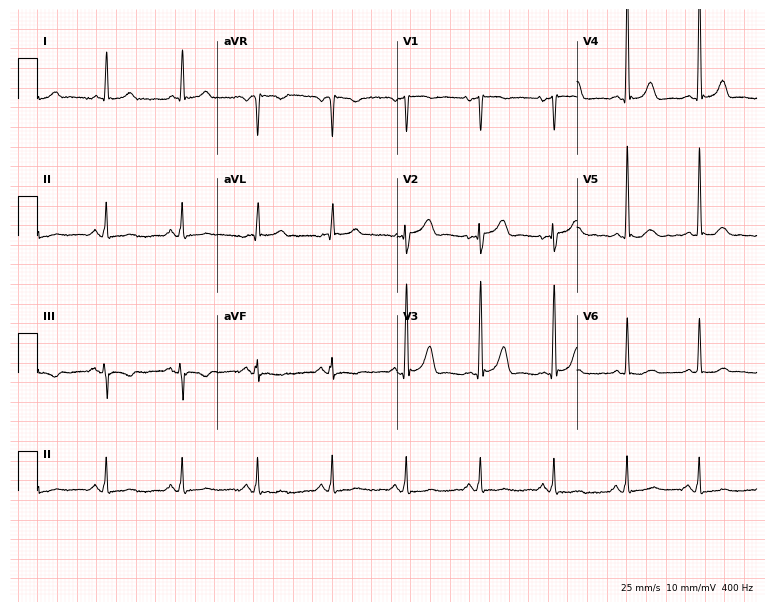
12-lead ECG from a woman, 68 years old. Screened for six findings — first-degree AV block, right bundle branch block, left bundle branch block, sinus bradycardia, atrial fibrillation, sinus tachycardia — none is recorded.